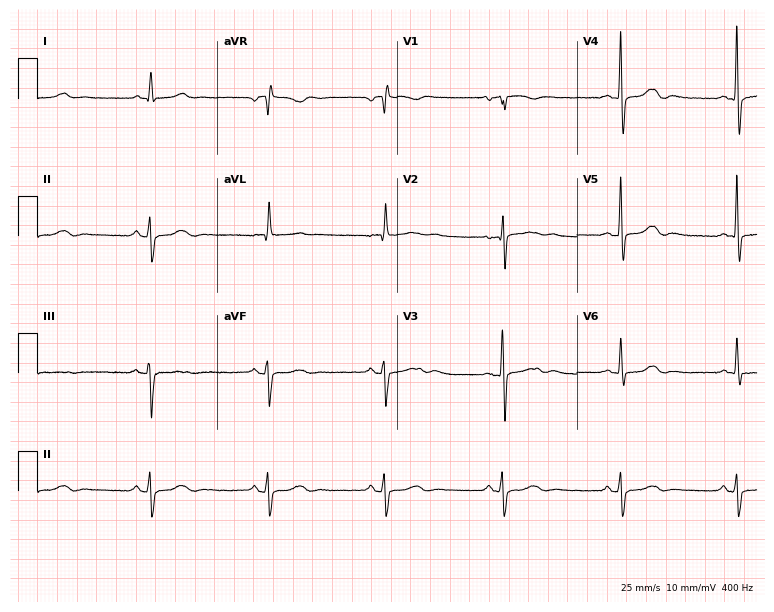
12-lead ECG from a 58-year-old female patient. Screened for six findings — first-degree AV block, right bundle branch block, left bundle branch block, sinus bradycardia, atrial fibrillation, sinus tachycardia — none is recorded. Only these six findings were labelled.